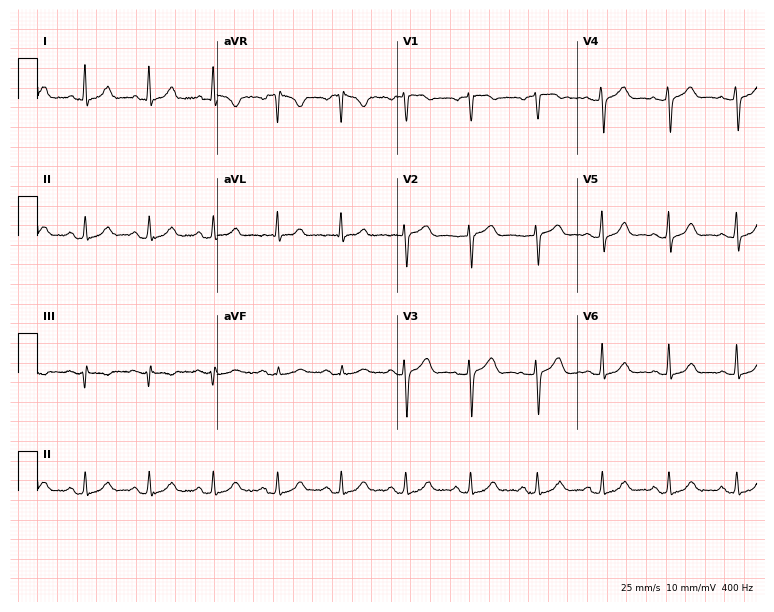
Standard 12-lead ECG recorded from a female, 49 years old (7.3-second recording at 400 Hz). None of these six findings is recorded: first-degree AV block, right bundle branch block, left bundle branch block, sinus bradycardia, atrial fibrillation, sinus tachycardia.